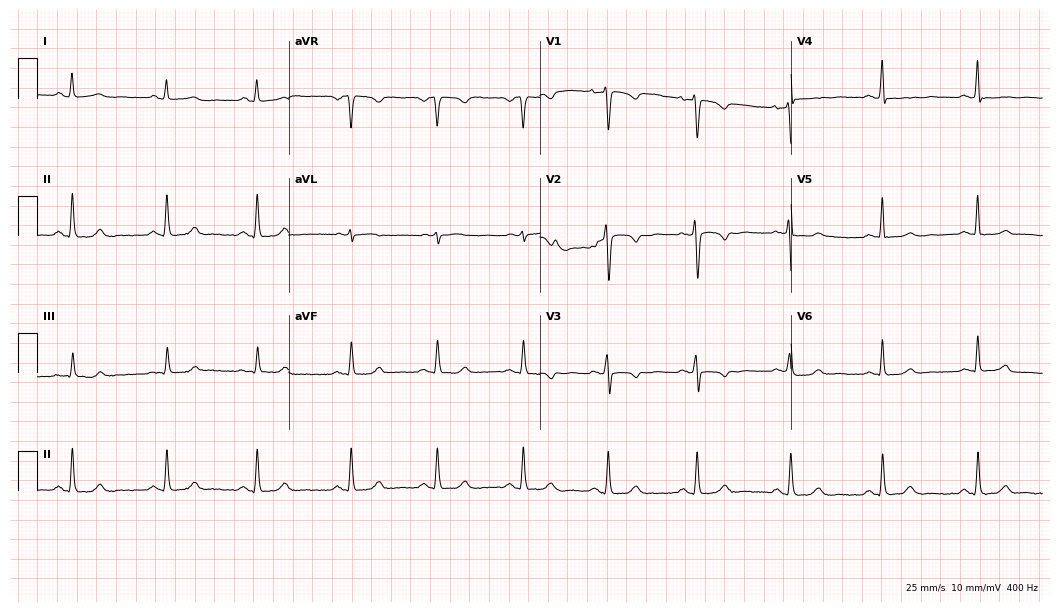
Electrocardiogram, a female patient, 47 years old. Of the six screened findings (first-degree AV block, right bundle branch block (RBBB), left bundle branch block (LBBB), sinus bradycardia, atrial fibrillation (AF), sinus tachycardia), none is recorded.